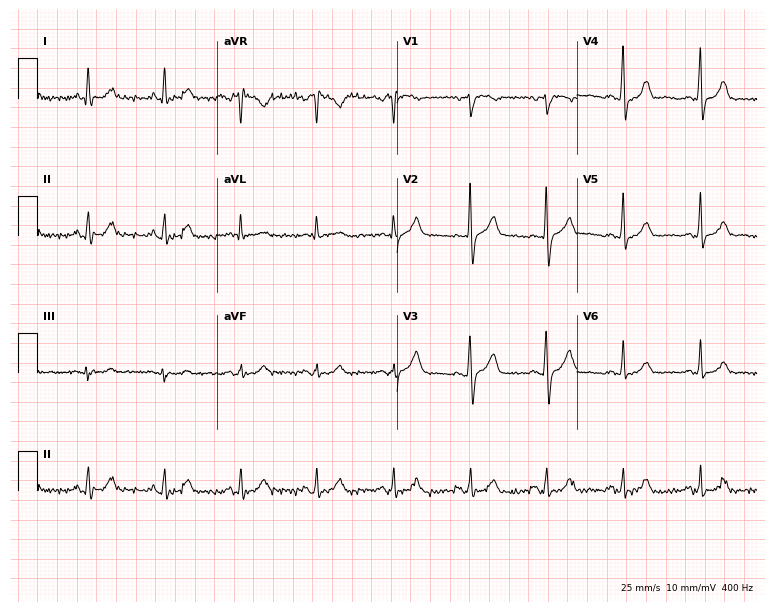
Standard 12-lead ECG recorded from a male, 66 years old (7.3-second recording at 400 Hz). Read as a normal ECG.